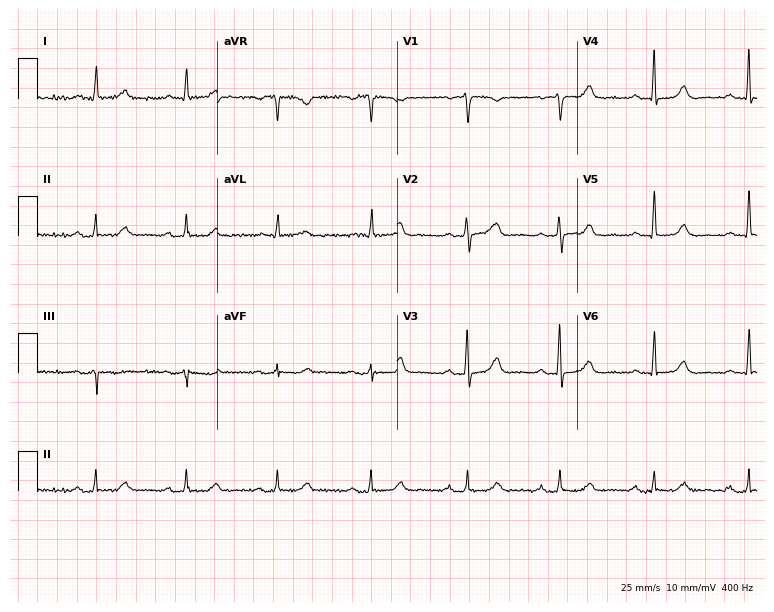
12-lead ECG from a woman, 74 years old (7.3-second recording at 400 Hz). Recorded interpretation: within normal limits.